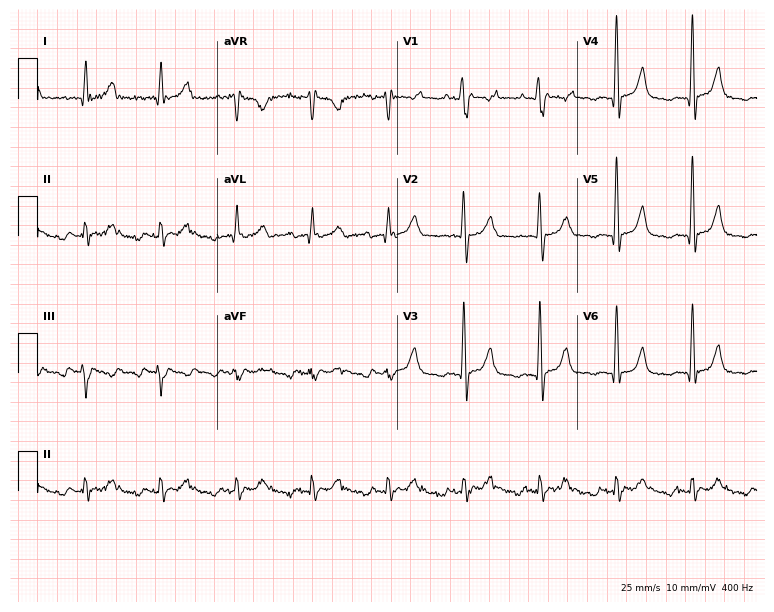
Resting 12-lead electrocardiogram. Patient: a 63-year-old male. Read as a normal ECG.